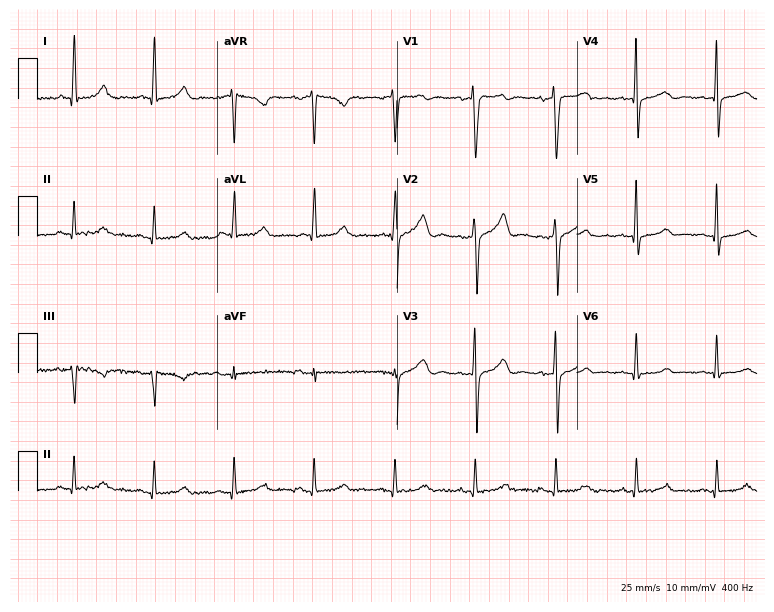
Standard 12-lead ECG recorded from a 50-year-old male. None of these six findings is recorded: first-degree AV block, right bundle branch block (RBBB), left bundle branch block (LBBB), sinus bradycardia, atrial fibrillation (AF), sinus tachycardia.